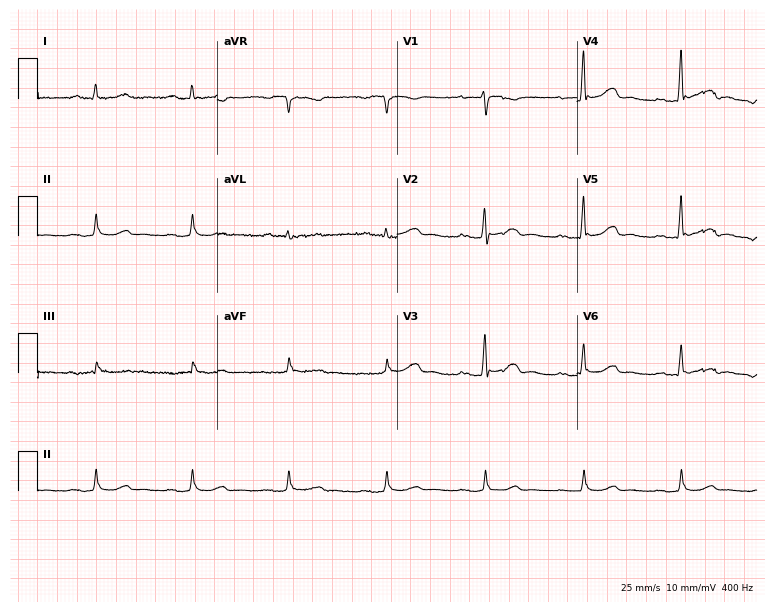
12-lead ECG (7.3-second recording at 400 Hz) from a 57-year-old female. Findings include first-degree AV block.